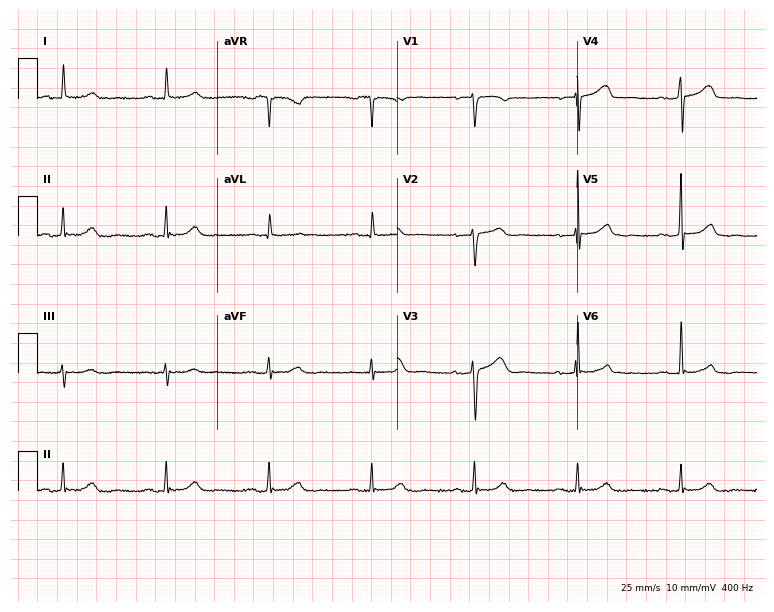
12-lead ECG (7.3-second recording at 400 Hz) from a female, 75 years old. Labelled as a normal ECG.